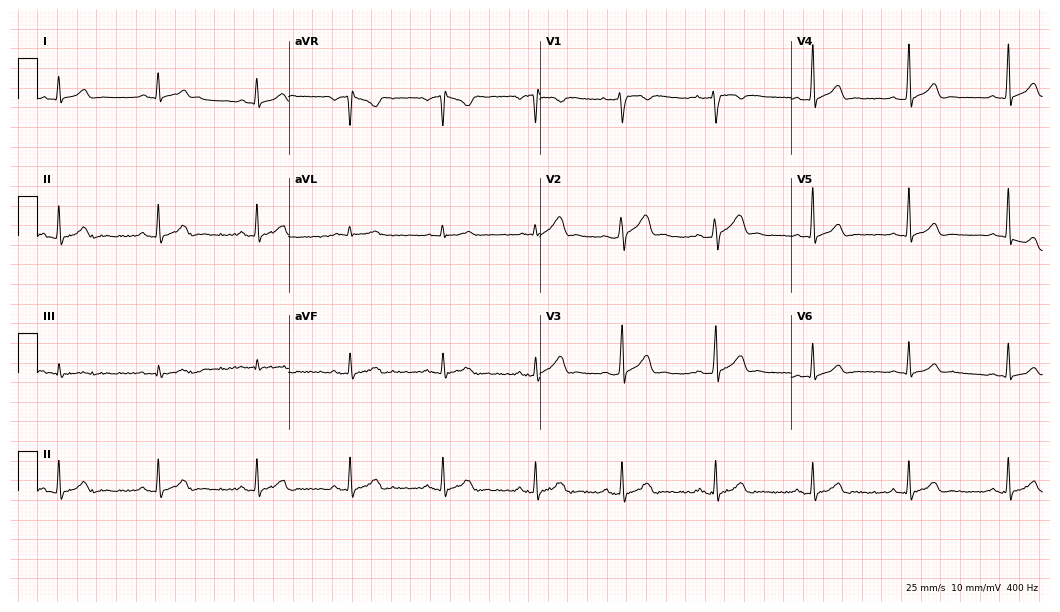
12-lead ECG from a male patient, 19 years old. Recorded interpretation: within normal limits.